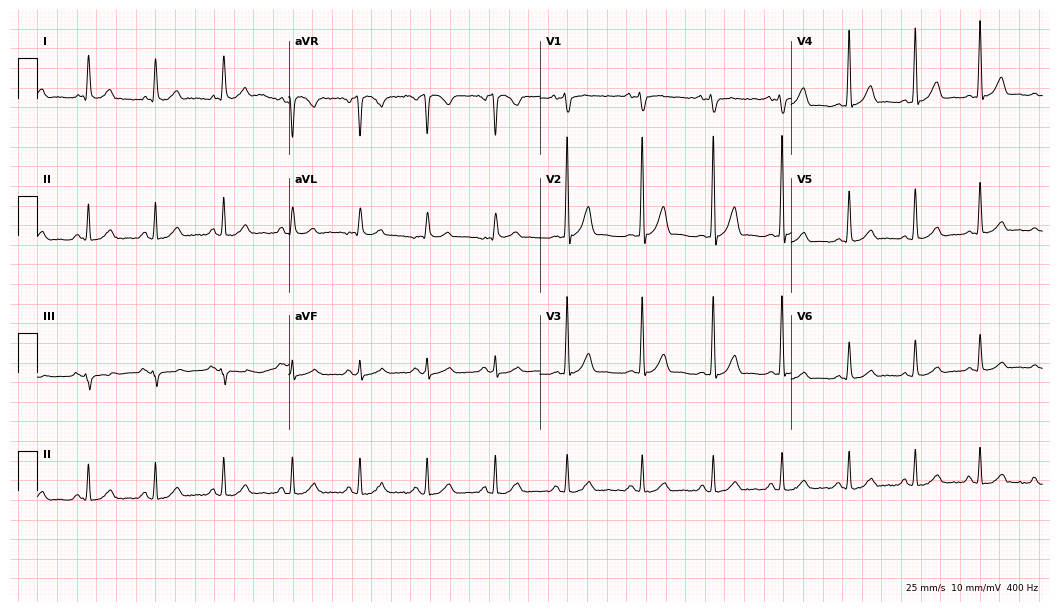
Resting 12-lead electrocardiogram (10.2-second recording at 400 Hz). Patient: a man, 53 years old. None of these six findings is recorded: first-degree AV block, right bundle branch block, left bundle branch block, sinus bradycardia, atrial fibrillation, sinus tachycardia.